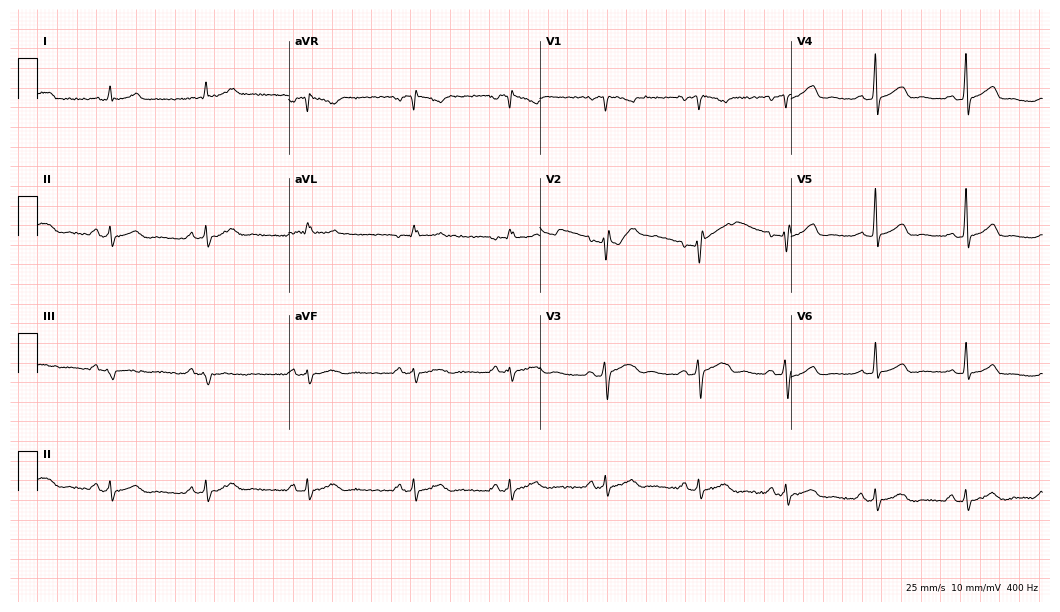
Resting 12-lead electrocardiogram. Patient: a male, 33 years old. Read as a normal ECG.